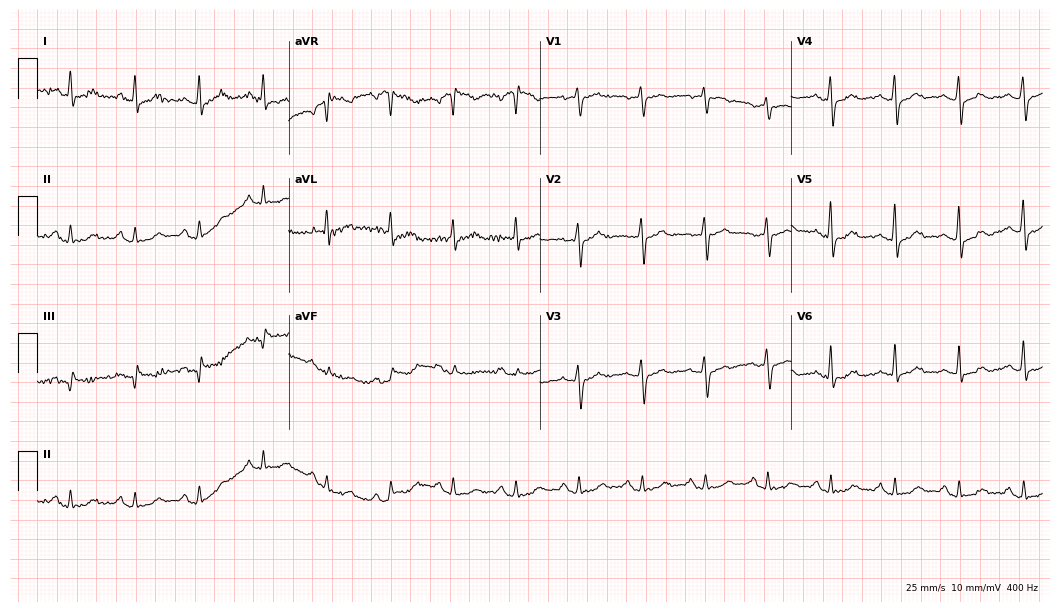
Electrocardiogram (10.2-second recording at 400 Hz), a 55-year-old female patient. Overall reading on record: normal ECG.